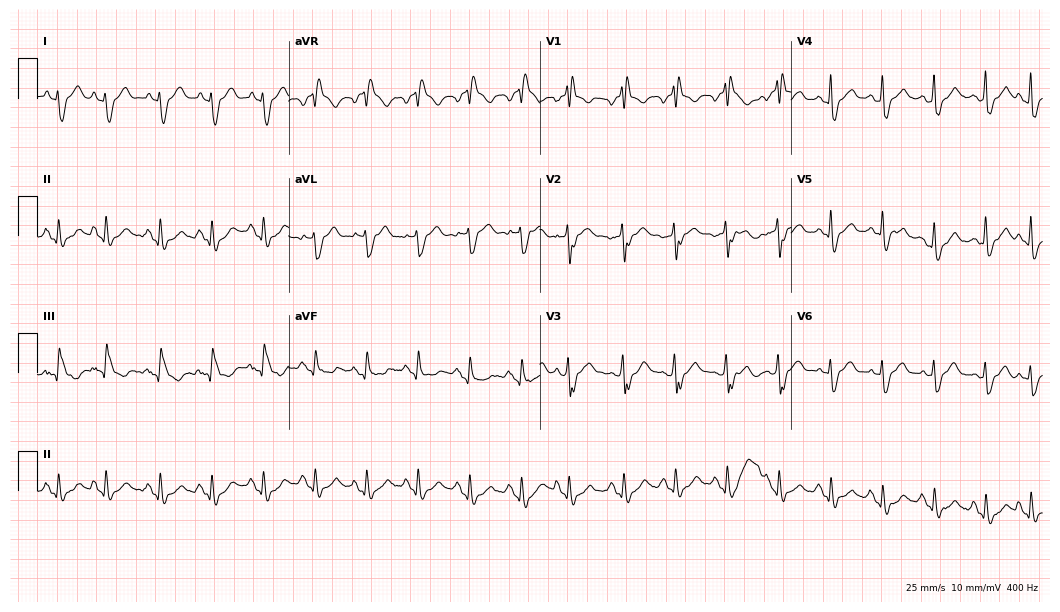
Electrocardiogram (10.2-second recording at 400 Hz), a 76-year-old male. Interpretation includes right bundle branch block (RBBB), sinus tachycardia (a sinus rate of 100 beats per minute or more).